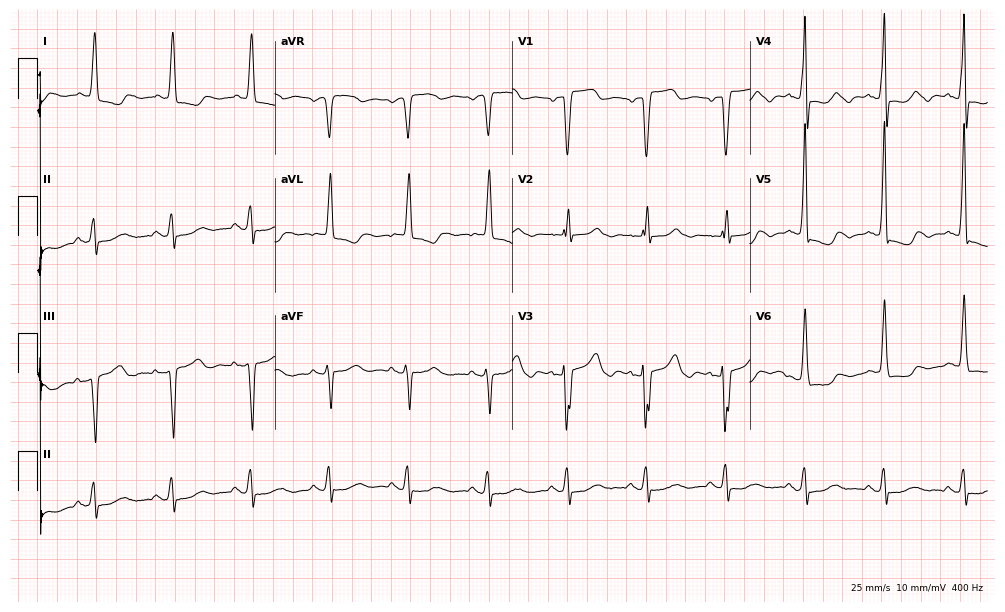
12-lead ECG (9.7-second recording at 400 Hz) from an 85-year-old woman. Screened for six findings — first-degree AV block, right bundle branch block, left bundle branch block, sinus bradycardia, atrial fibrillation, sinus tachycardia — none is recorded. Findings outside these six are not listed.